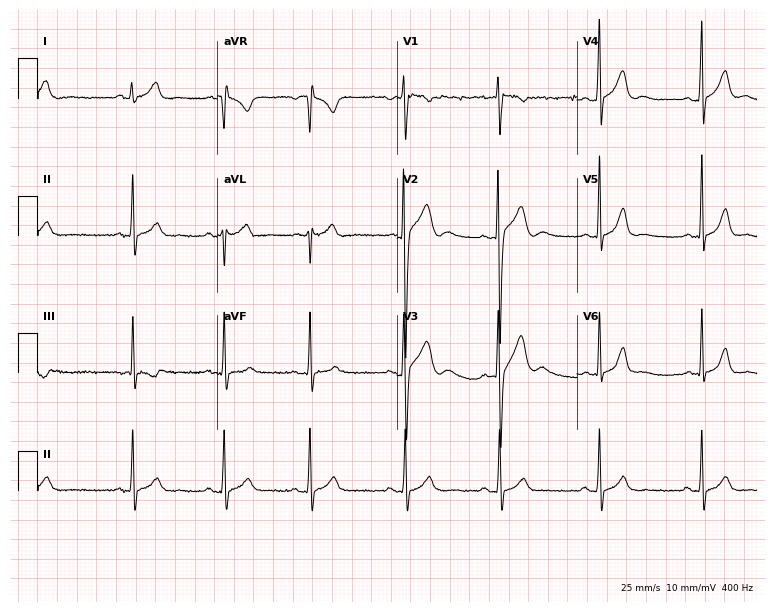
12-lead ECG from a 24-year-old male patient. Labelled as a normal ECG.